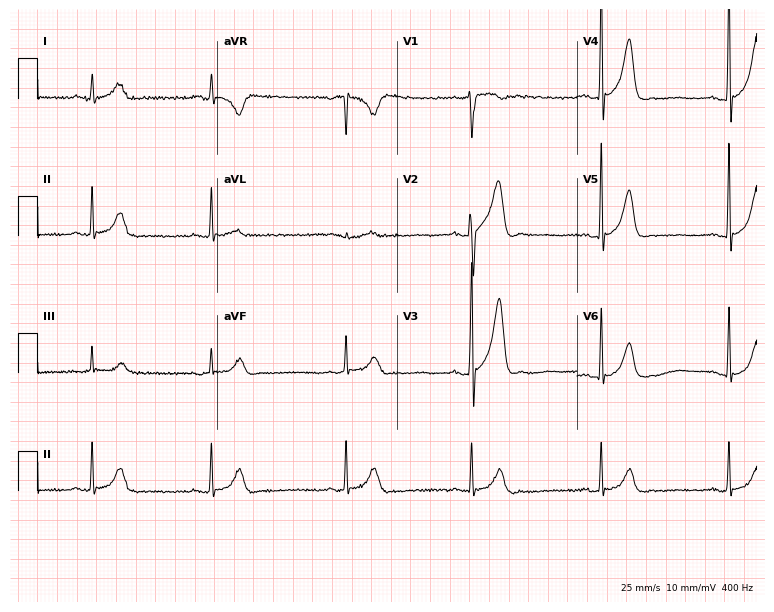
Resting 12-lead electrocardiogram (7.3-second recording at 400 Hz). Patient: a 25-year-old man. None of these six findings is recorded: first-degree AV block, right bundle branch block, left bundle branch block, sinus bradycardia, atrial fibrillation, sinus tachycardia. Only these six findings were labelled.